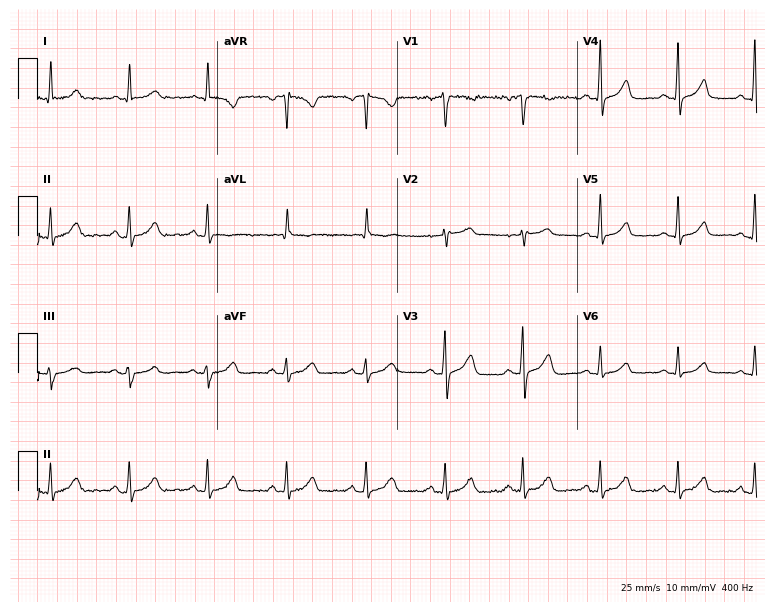
Resting 12-lead electrocardiogram. Patient: a female, 69 years old. Read as a normal ECG.